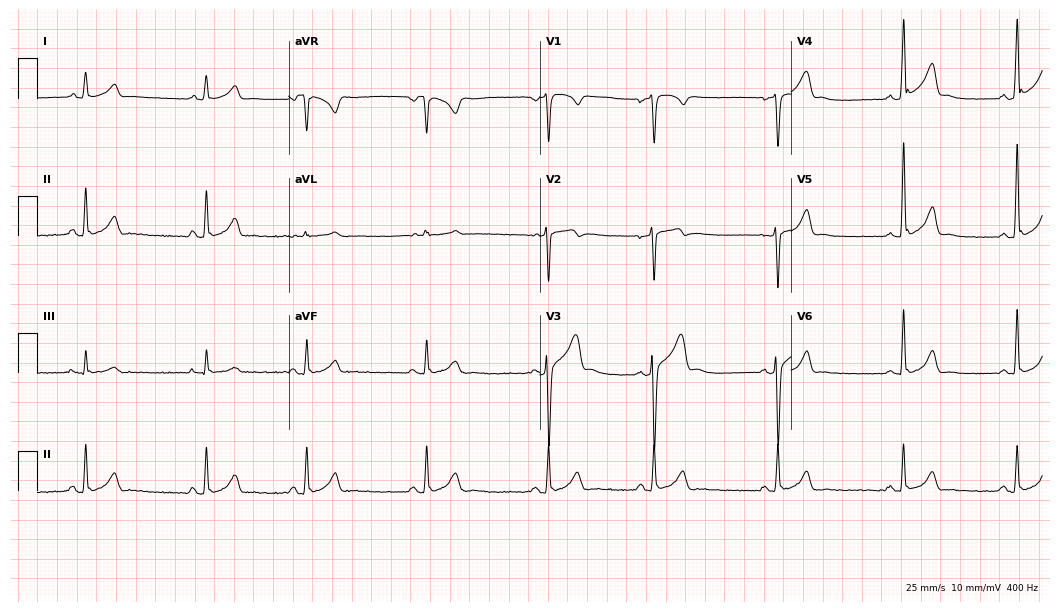
Standard 12-lead ECG recorded from a male, 21 years old (10.2-second recording at 400 Hz). None of these six findings is recorded: first-degree AV block, right bundle branch block, left bundle branch block, sinus bradycardia, atrial fibrillation, sinus tachycardia.